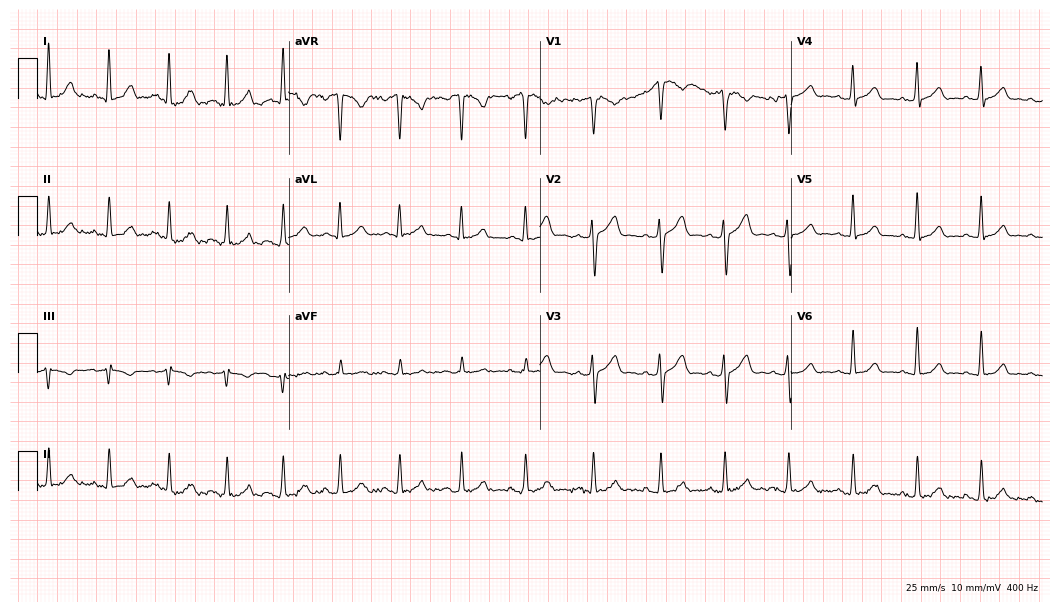
Electrocardiogram, a man, 22 years old. Overall reading on record: normal ECG.